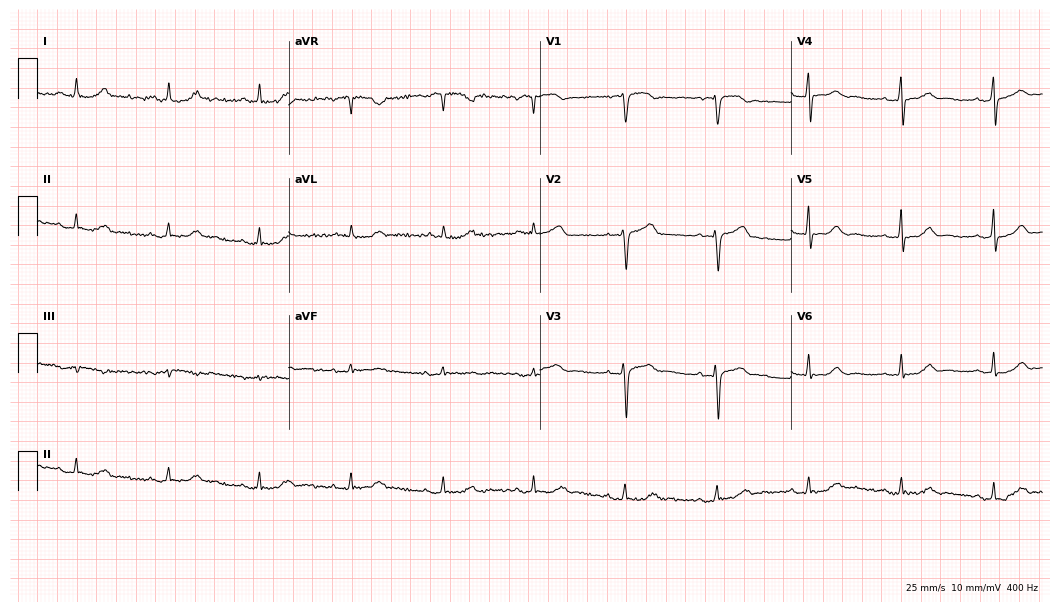
Resting 12-lead electrocardiogram. Patient: a woman, 69 years old. None of these six findings is recorded: first-degree AV block, right bundle branch block, left bundle branch block, sinus bradycardia, atrial fibrillation, sinus tachycardia. Only these six findings were labelled.